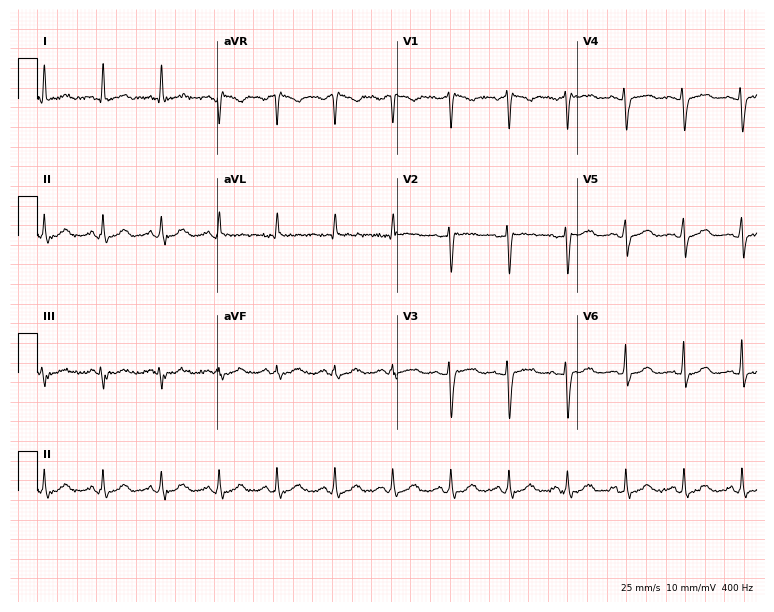
Standard 12-lead ECG recorded from a woman, 43 years old (7.3-second recording at 400 Hz). The tracing shows sinus tachycardia (a sinus rate of 100 beats per minute or more).